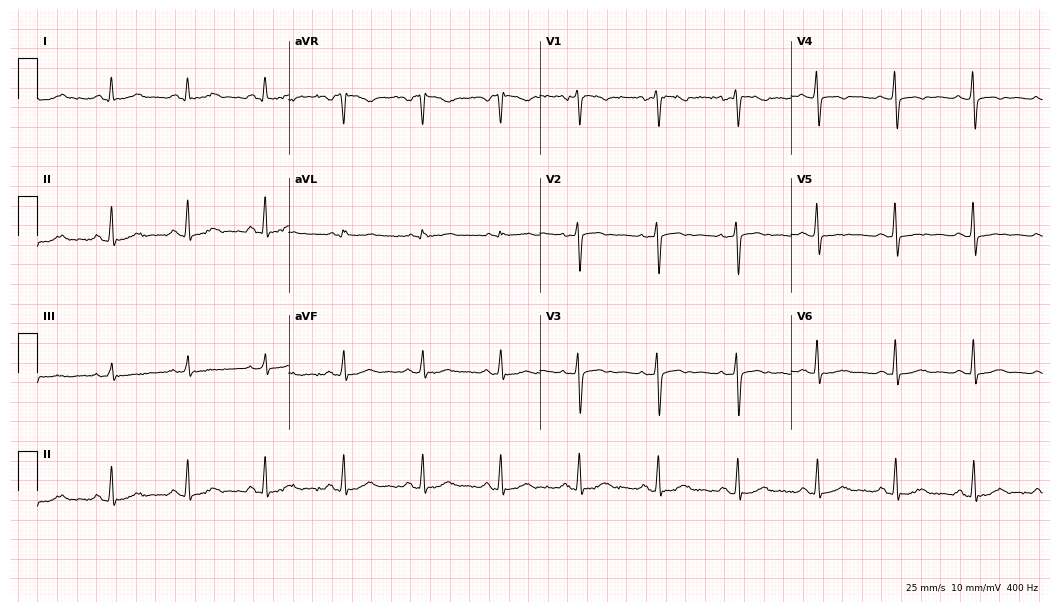
12-lead ECG from a female, 60 years old. Screened for six findings — first-degree AV block, right bundle branch block, left bundle branch block, sinus bradycardia, atrial fibrillation, sinus tachycardia — none is recorded.